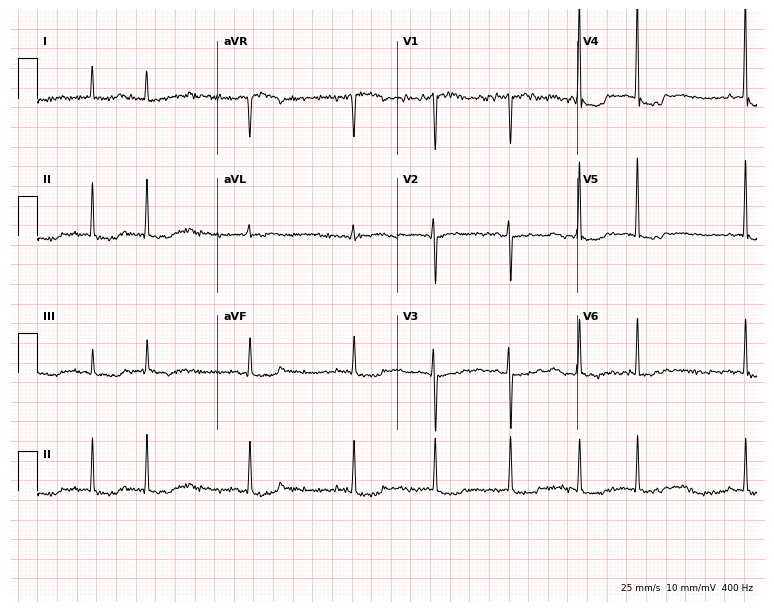
Electrocardiogram, a female patient, 70 years old. Interpretation includes atrial fibrillation.